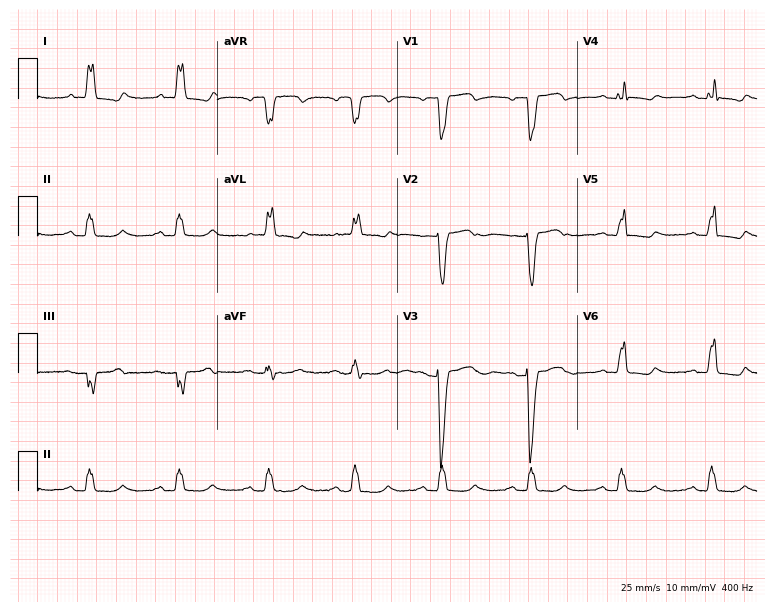
12-lead ECG from a female, 67 years old (7.3-second recording at 400 Hz). Shows left bundle branch block.